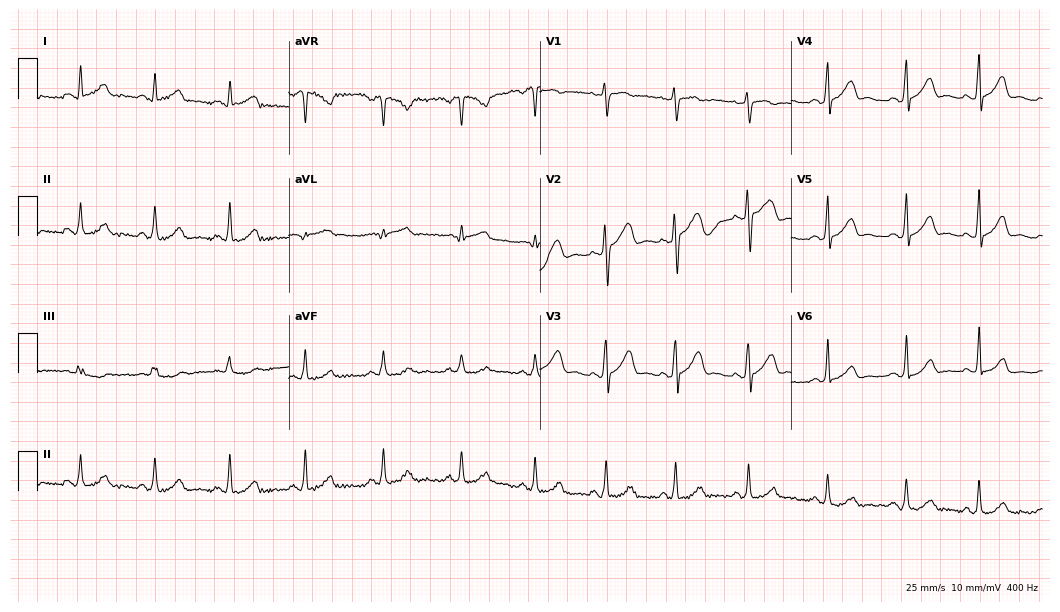
12-lead ECG from a 33-year-old female patient. Recorded interpretation: within normal limits.